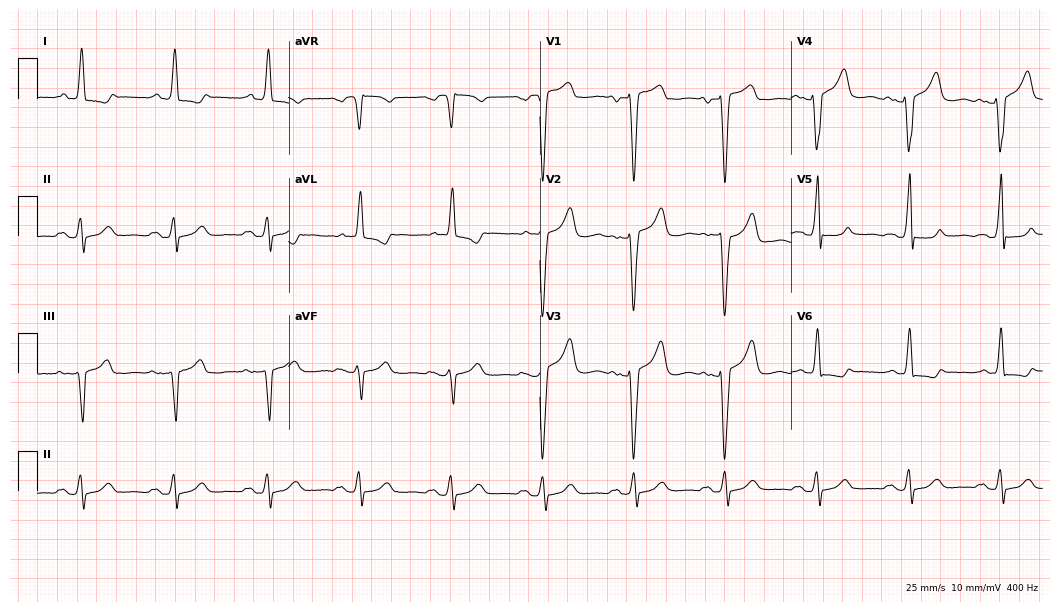
Electrocardiogram, a female, 78 years old. Interpretation includes left bundle branch block.